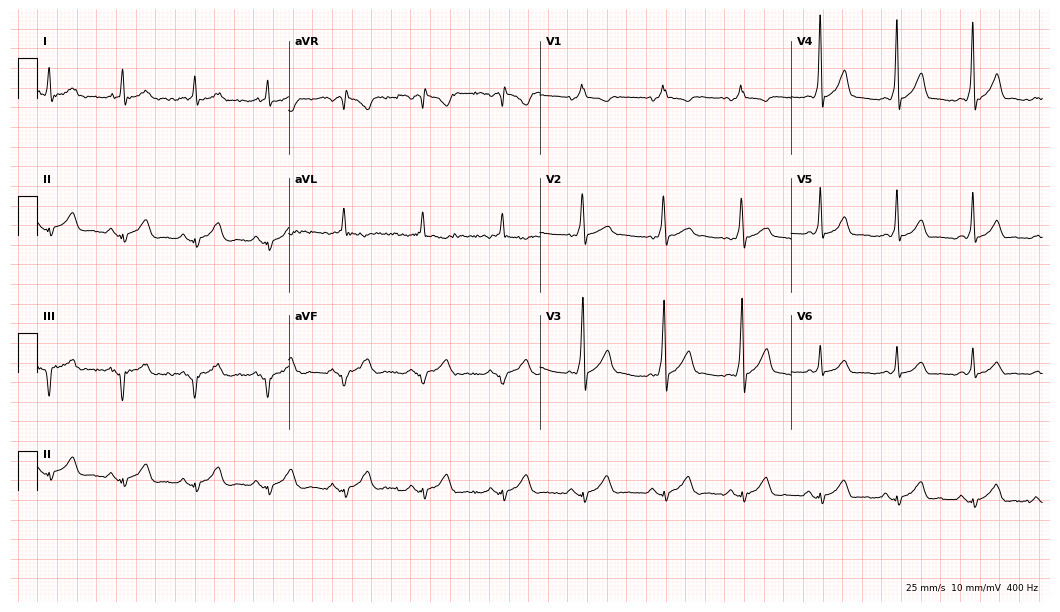
12-lead ECG from a 48-year-old male patient. No first-degree AV block, right bundle branch block (RBBB), left bundle branch block (LBBB), sinus bradycardia, atrial fibrillation (AF) or sinus tachycardia recorded for this tracing. Only these six findings were labelled.